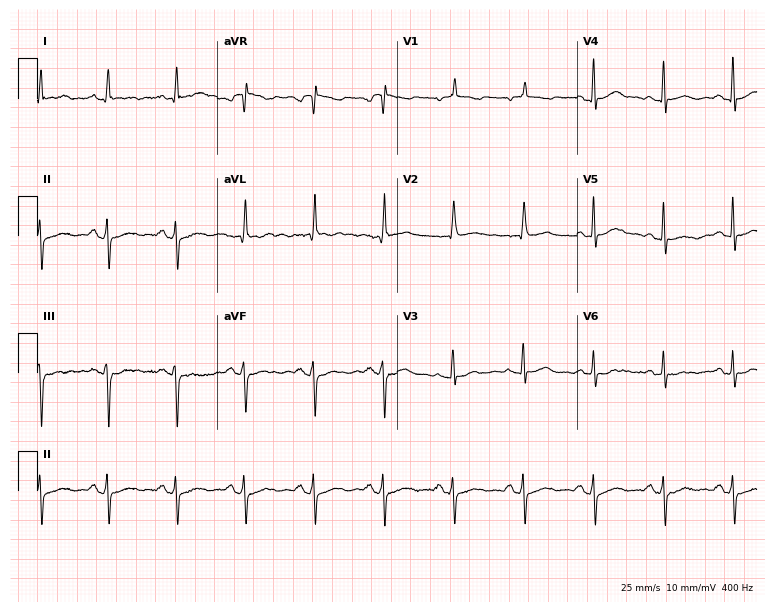
12-lead ECG from a 71-year-old female (7.3-second recording at 400 Hz). No first-degree AV block, right bundle branch block (RBBB), left bundle branch block (LBBB), sinus bradycardia, atrial fibrillation (AF) or sinus tachycardia recorded for this tracing.